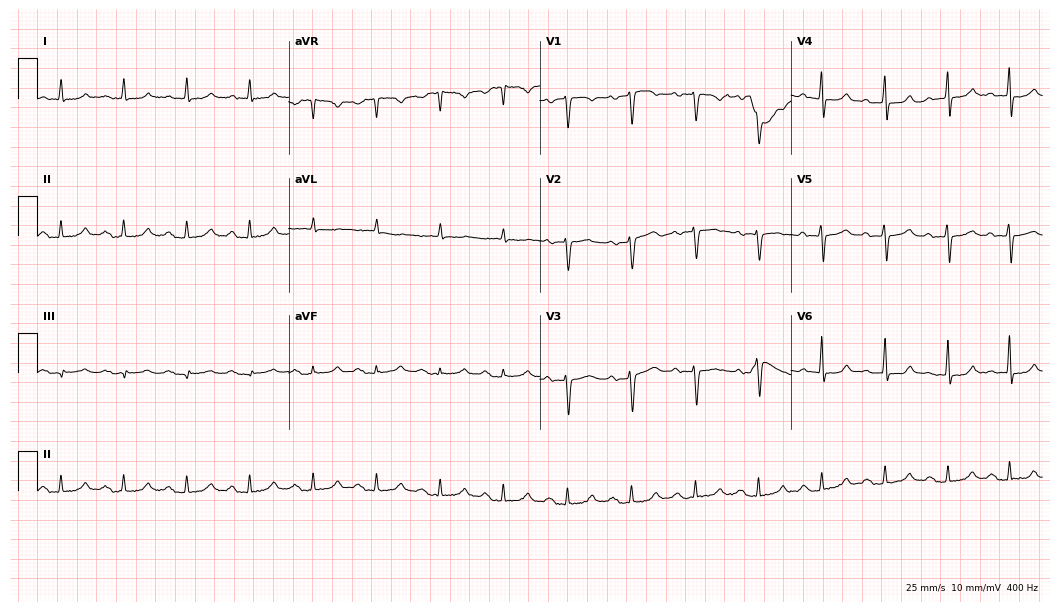
12-lead ECG from a 74-year-old woman. Labelled as a normal ECG.